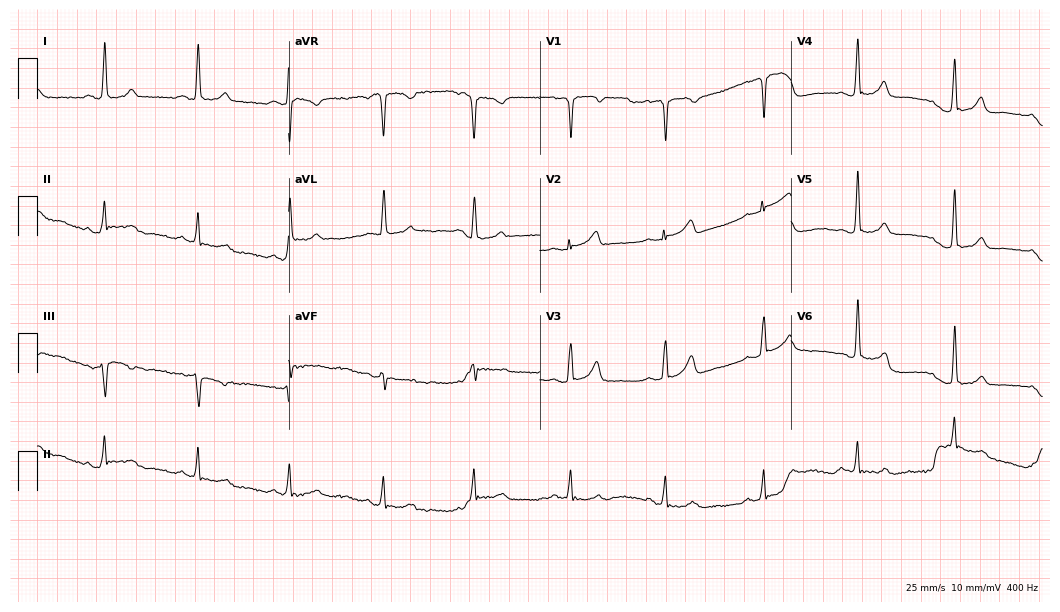
ECG — a 45-year-old woman. Labelled as a normal ECG.